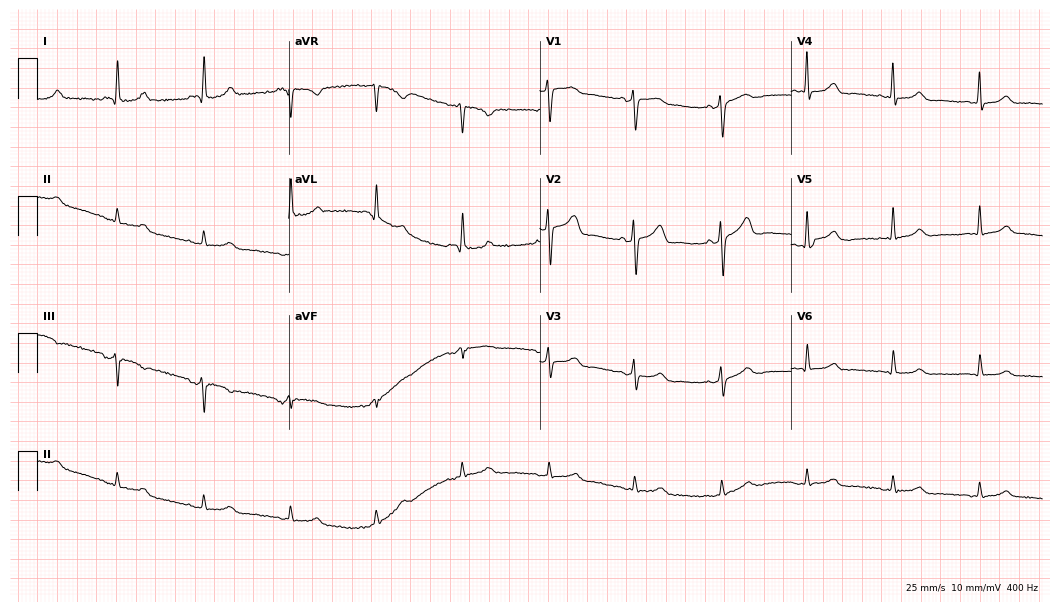
Resting 12-lead electrocardiogram (10.2-second recording at 400 Hz). Patient: a female, 64 years old. None of these six findings is recorded: first-degree AV block, right bundle branch block, left bundle branch block, sinus bradycardia, atrial fibrillation, sinus tachycardia. Other findings, if any, are not listed.